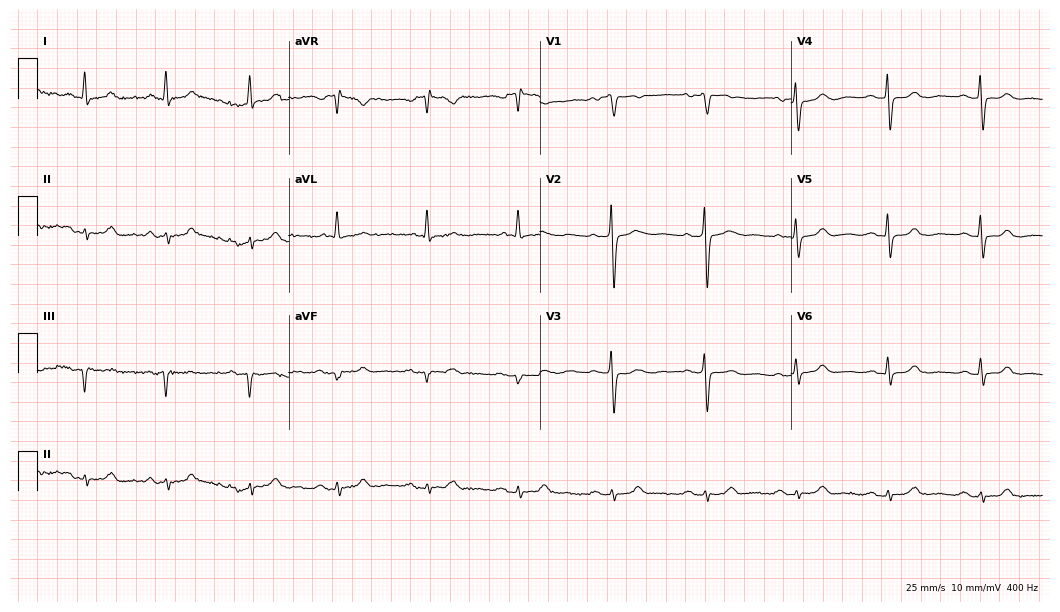
Standard 12-lead ECG recorded from a 70-year-old female patient. None of these six findings is recorded: first-degree AV block, right bundle branch block, left bundle branch block, sinus bradycardia, atrial fibrillation, sinus tachycardia.